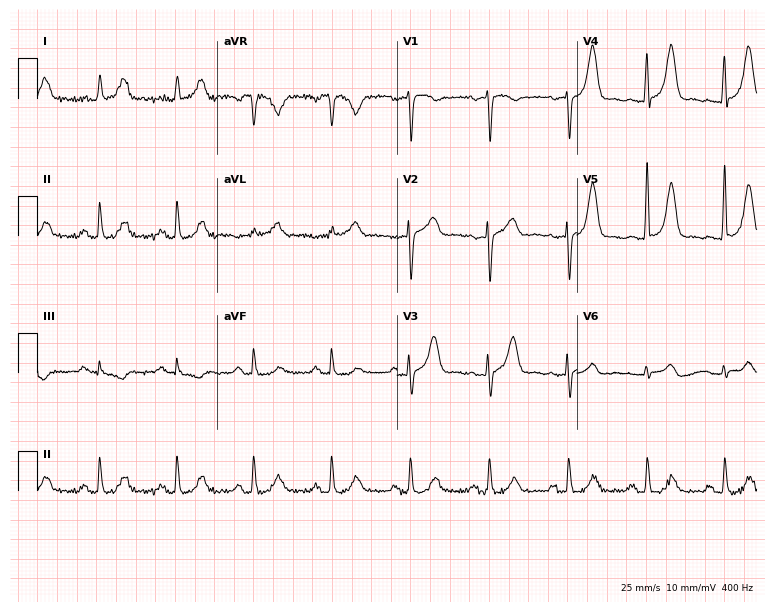
ECG (7.3-second recording at 400 Hz) — a 75-year-old woman. Screened for six findings — first-degree AV block, right bundle branch block, left bundle branch block, sinus bradycardia, atrial fibrillation, sinus tachycardia — none is recorded. Only these six findings were labelled.